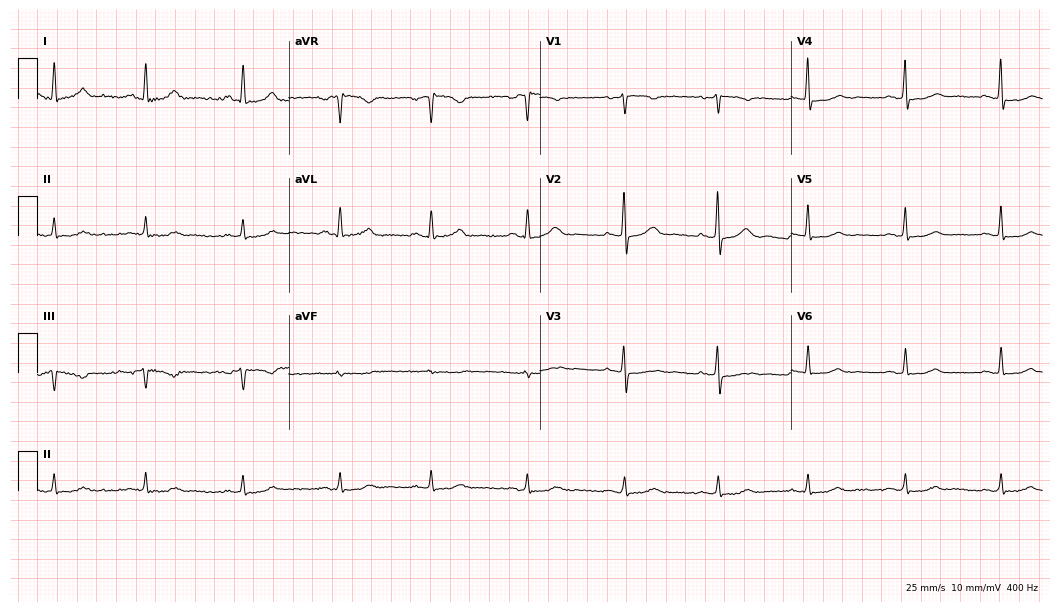
Resting 12-lead electrocardiogram (10.2-second recording at 400 Hz). Patient: a female, 60 years old. Read as a normal ECG.